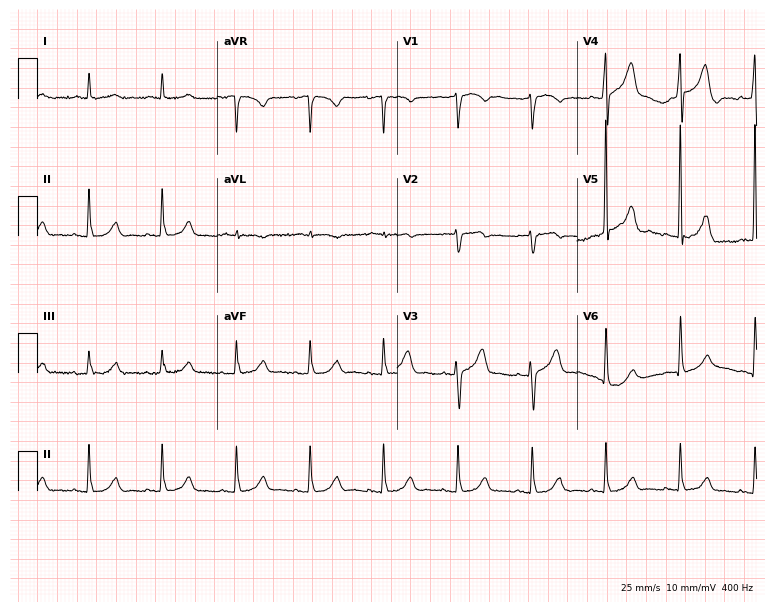
12-lead ECG from a man, 84 years old. Screened for six findings — first-degree AV block, right bundle branch block (RBBB), left bundle branch block (LBBB), sinus bradycardia, atrial fibrillation (AF), sinus tachycardia — none is recorded. Findings outside these six are not listed.